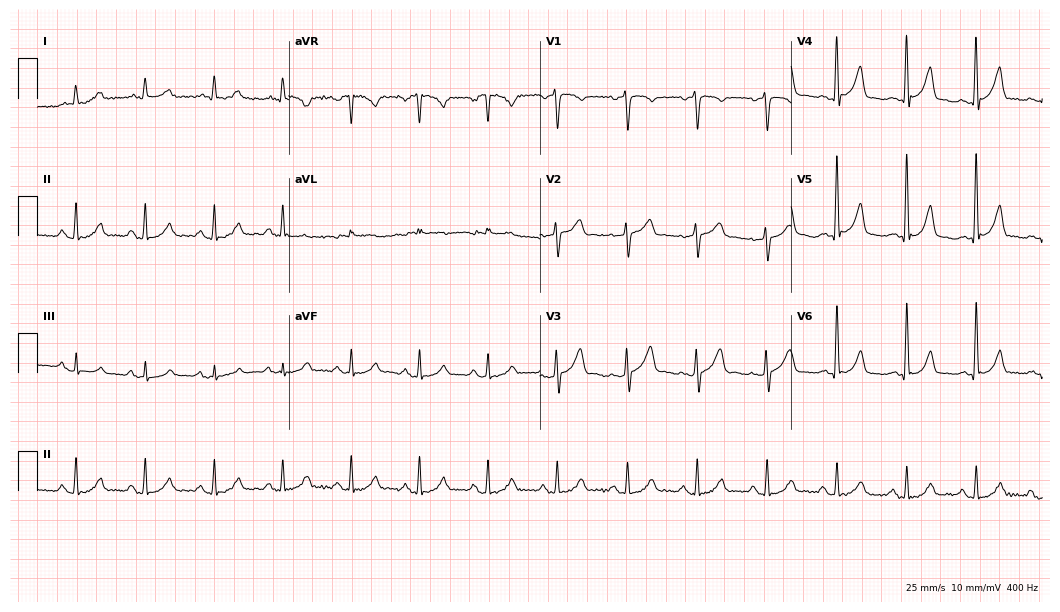
Resting 12-lead electrocardiogram. Patient: a 72-year-old man. Read as a normal ECG.